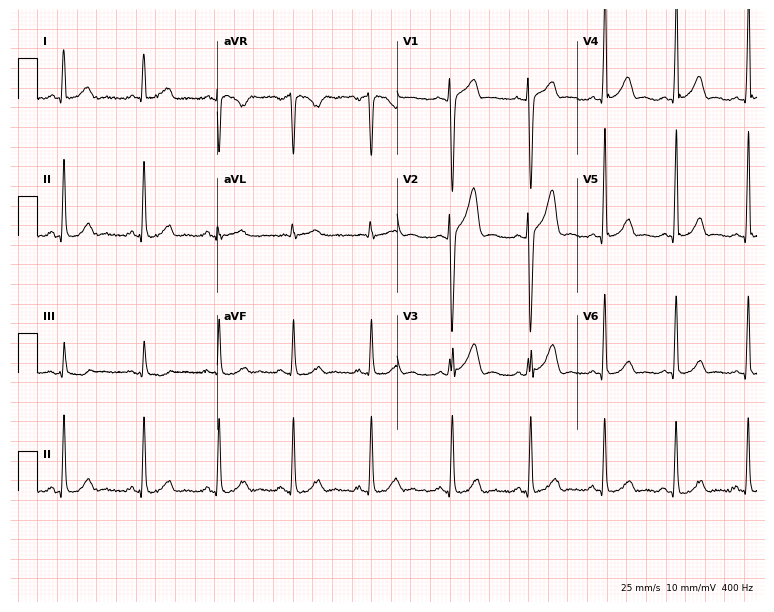
12-lead ECG from a man, 22 years old. Labelled as a normal ECG.